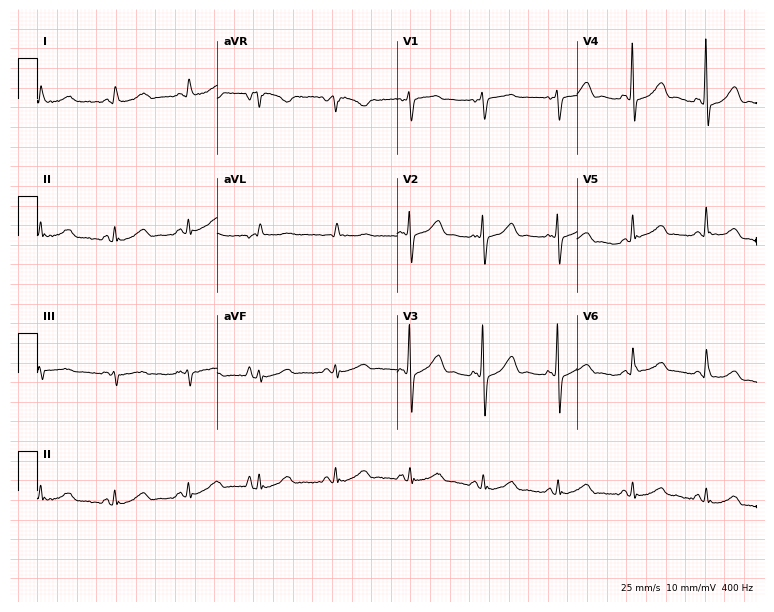
ECG — an 84-year-old female patient. Screened for six findings — first-degree AV block, right bundle branch block, left bundle branch block, sinus bradycardia, atrial fibrillation, sinus tachycardia — none is recorded. Only these six findings were labelled.